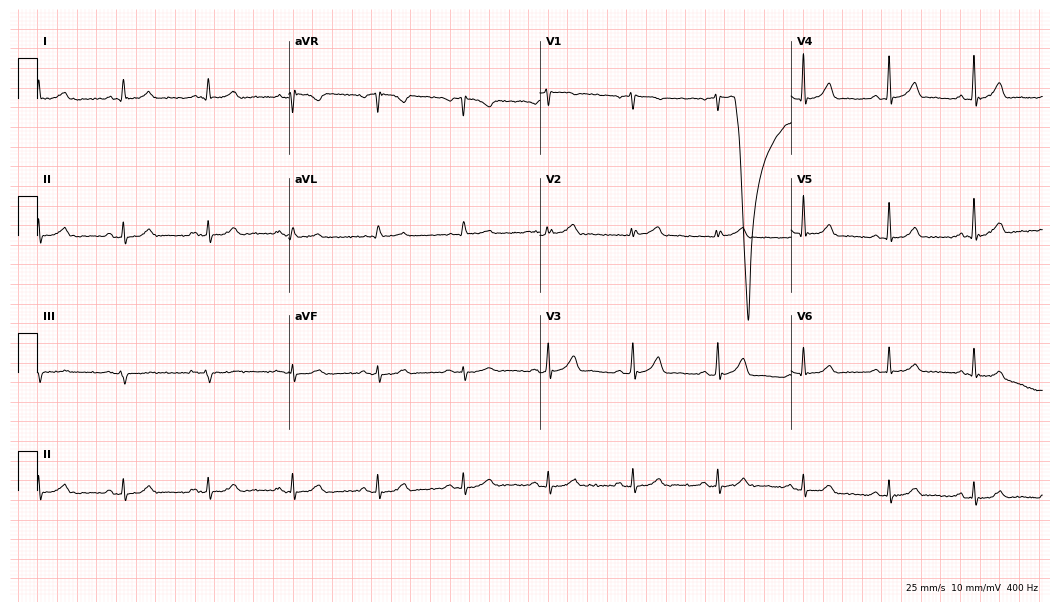
Standard 12-lead ECG recorded from an 85-year-old male patient (10.2-second recording at 400 Hz). Read as a normal ECG.